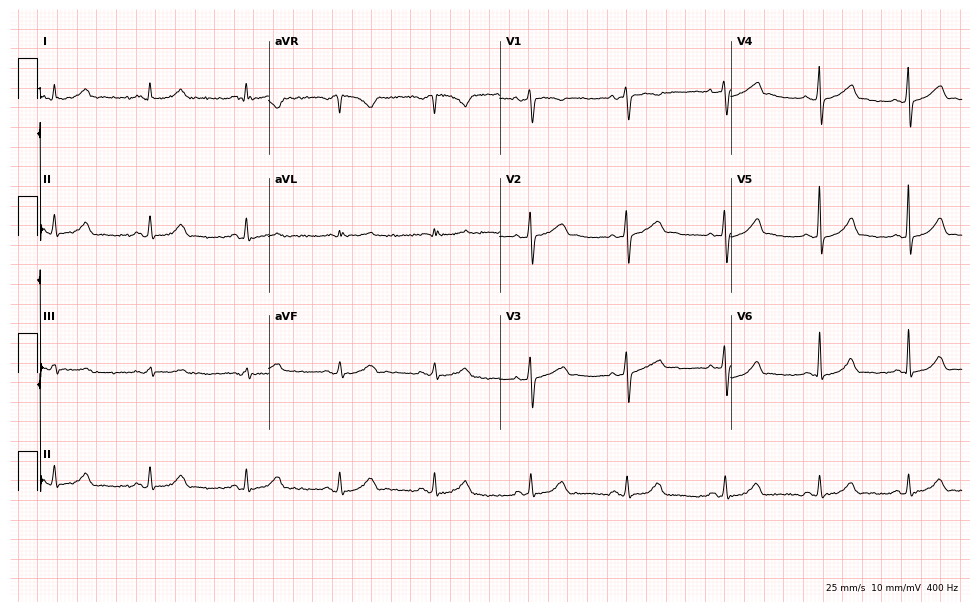
ECG (9.4-second recording at 400 Hz) — a female, 32 years old. Labelled as a normal ECG.